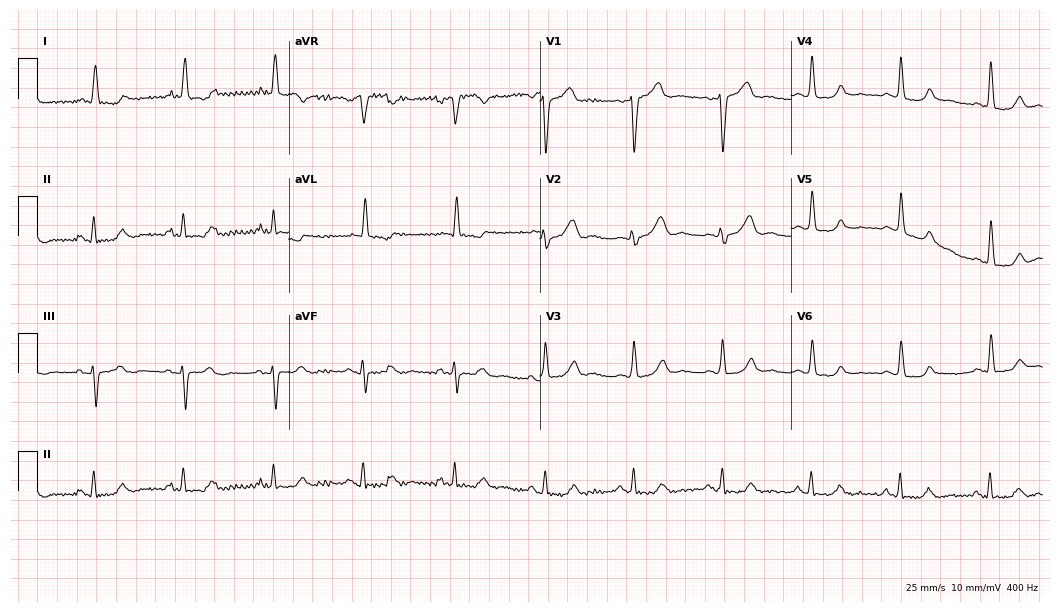
Electrocardiogram (10.2-second recording at 400 Hz), an 80-year-old female patient. Overall reading on record: normal ECG.